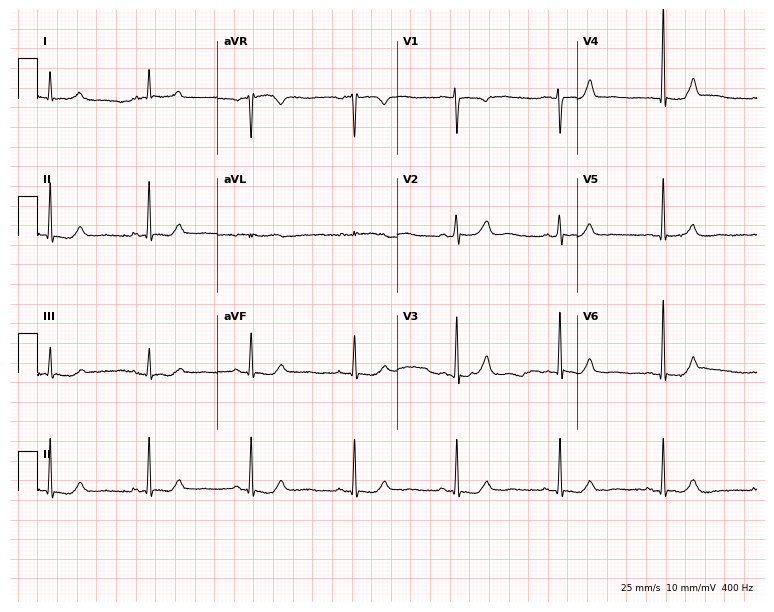
ECG (7.3-second recording at 400 Hz) — a female, 73 years old. Labelled as a normal ECG.